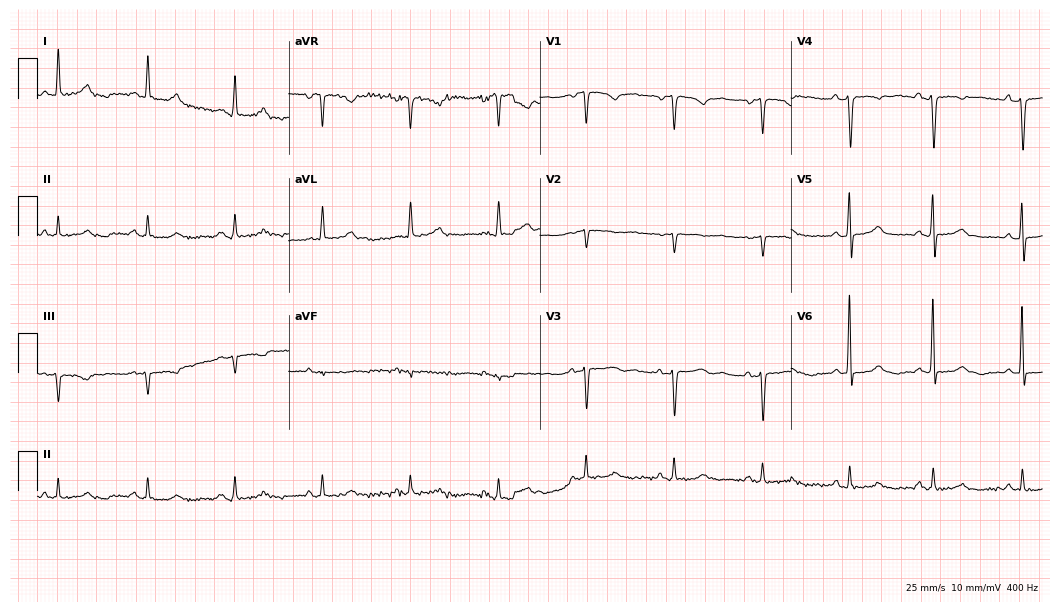
12-lead ECG (10.2-second recording at 400 Hz) from a female, 66 years old. Screened for six findings — first-degree AV block, right bundle branch block, left bundle branch block, sinus bradycardia, atrial fibrillation, sinus tachycardia — none is recorded.